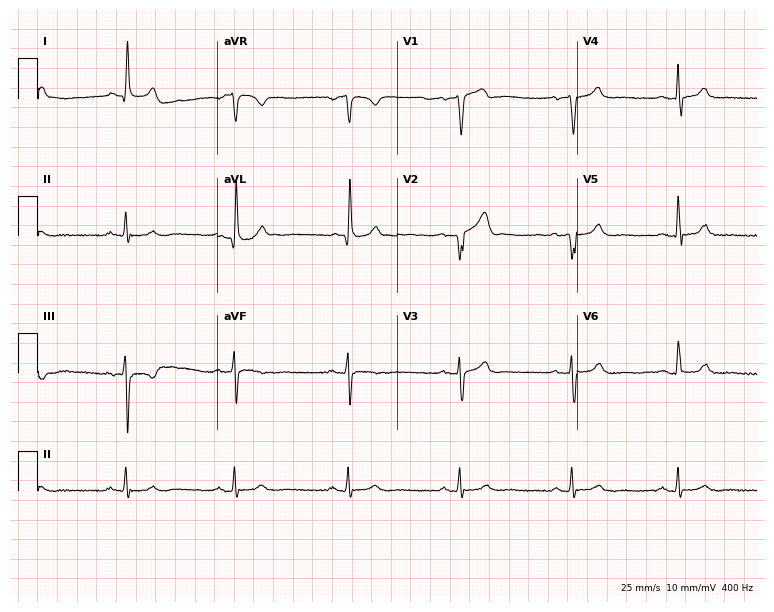
12-lead ECG from a male patient, 61 years old (7.3-second recording at 400 Hz). Recorded interpretation: within normal limits.